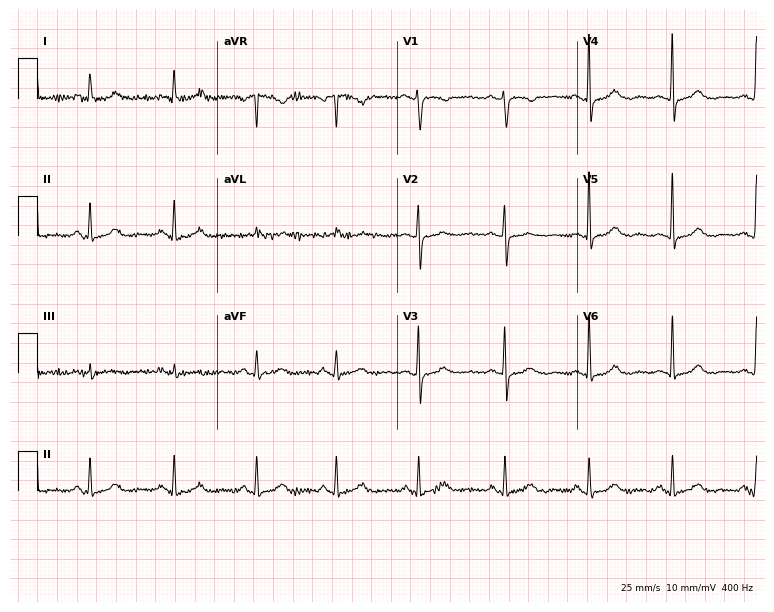
ECG — a 63-year-old woman. Labelled as a normal ECG.